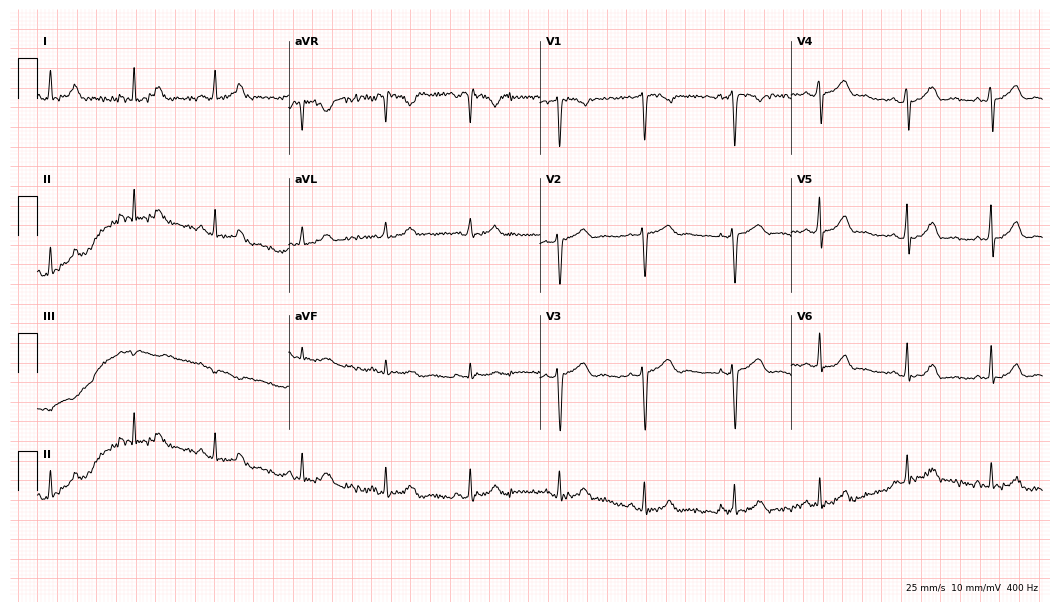
Standard 12-lead ECG recorded from a 23-year-old female patient. Read as a normal ECG.